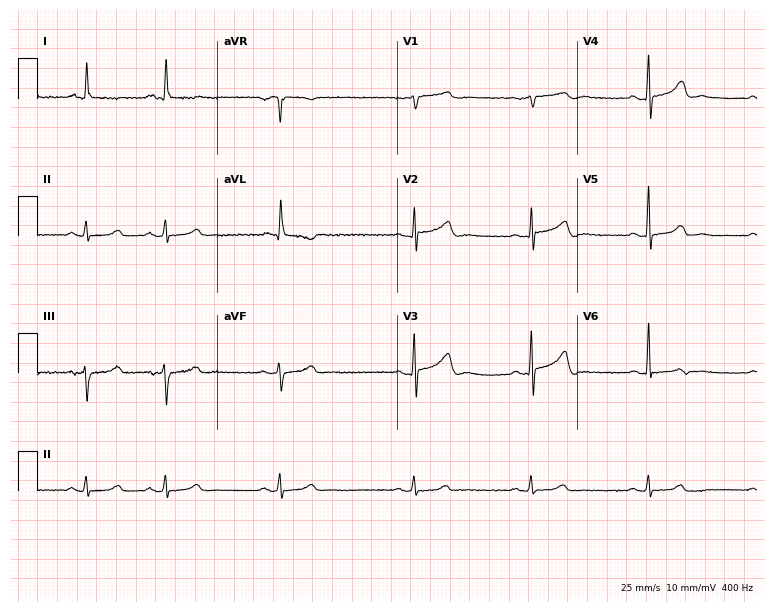
Standard 12-lead ECG recorded from a 64-year-old man. None of these six findings is recorded: first-degree AV block, right bundle branch block, left bundle branch block, sinus bradycardia, atrial fibrillation, sinus tachycardia.